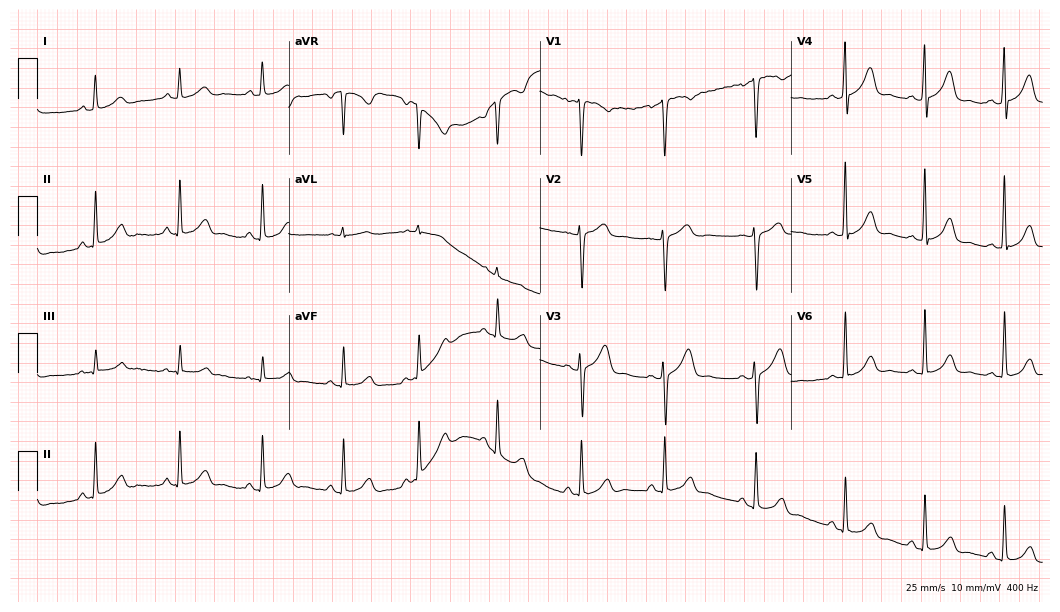
ECG — a female patient, 26 years old. Labelled as a normal ECG.